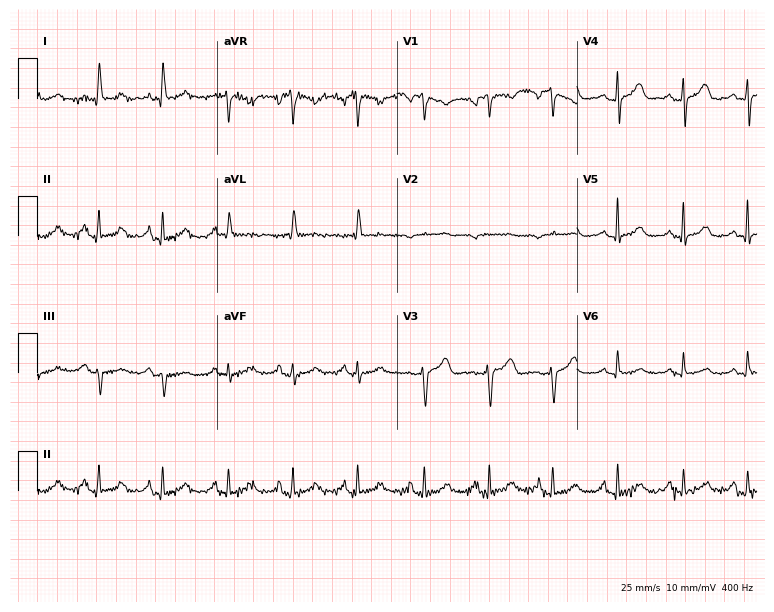
Standard 12-lead ECG recorded from a 72-year-old female patient. Read as a normal ECG.